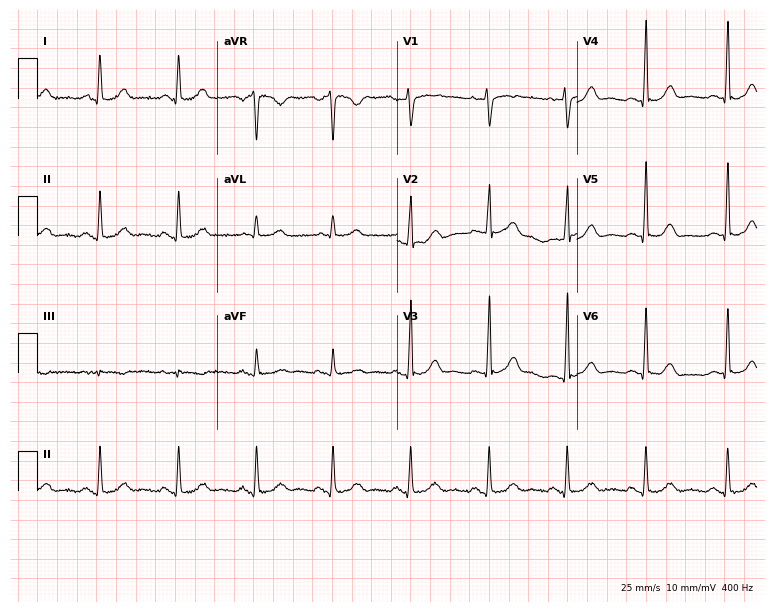
Standard 12-lead ECG recorded from a female, 42 years old (7.3-second recording at 400 Hz). None of these six findings is recorded: first-degree AV block, right bundle branch block (RBBB), left bundle branch block (LBBB), sinus bradycardia, atrial fibrillation (AF), sinus tachycardia.